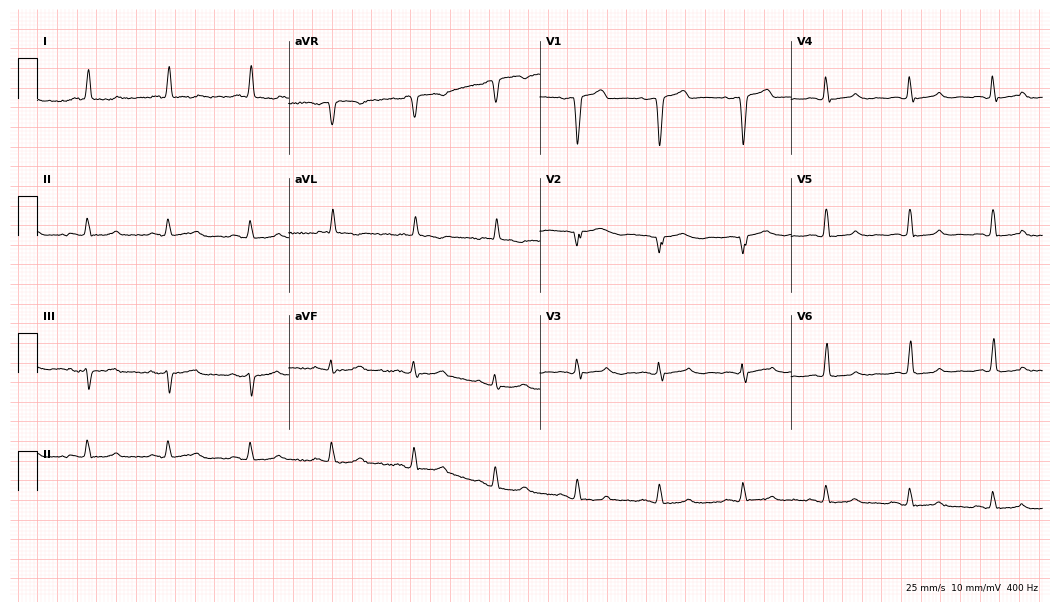
12-lead ECG from a man, 79 years old (10.2-second recording at 400 Hz). No first-degree AV block, right bundle branch block (RBBB), left bundle branch block (LBBB), sinus bradycardia, atrial fibrillation (AF) or sinus tachycardia recorded for this tracing. Other findings, if any, are not listed.